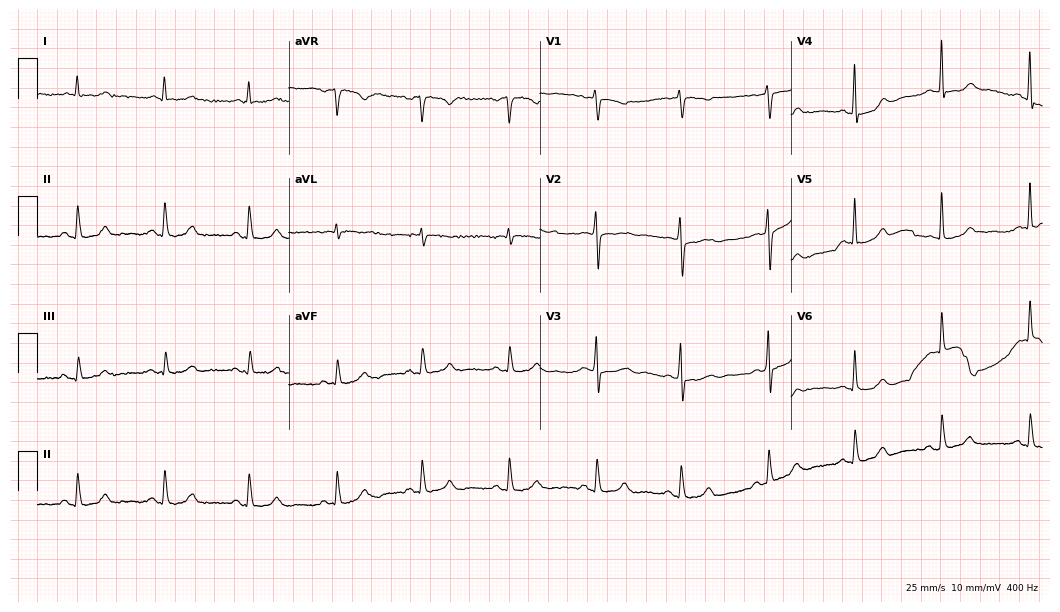
Resting 12-lead electrocardiogram. Patient: a 79-year-old female. None of these six findings is recorded: first-degree AV block, right bundle branch block, left bundle branch block, sinus bradycardia, atrial fibrillation, sinus tachycardia. Other findings, if any, are not listed.